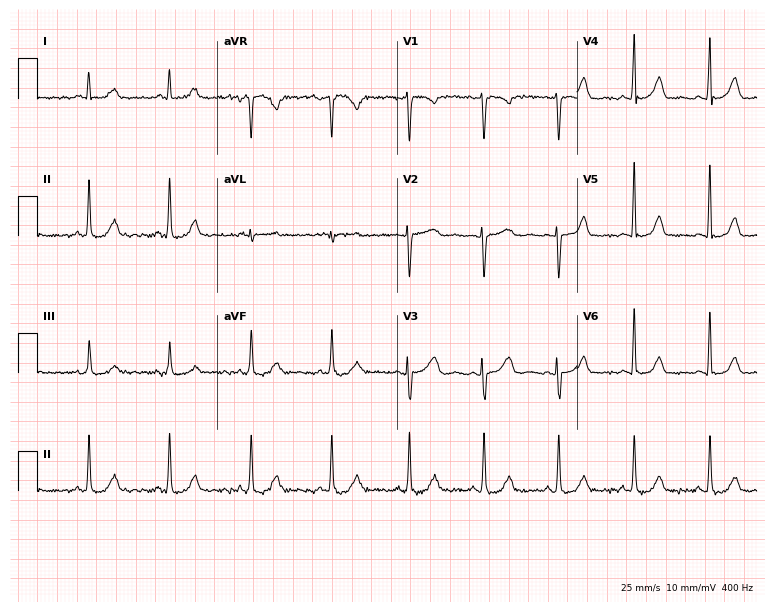
Standard 12-lead ECG recorded from a female, 46 years old (7.3-second recording at 400 Hz). None of these six findings is recorded: first-degree AV block, right bundle branch block, left bundle branch block, sinus bradycardia, atrial fibrillation, sinus tachycardia. Other findings, if any, are not listed.